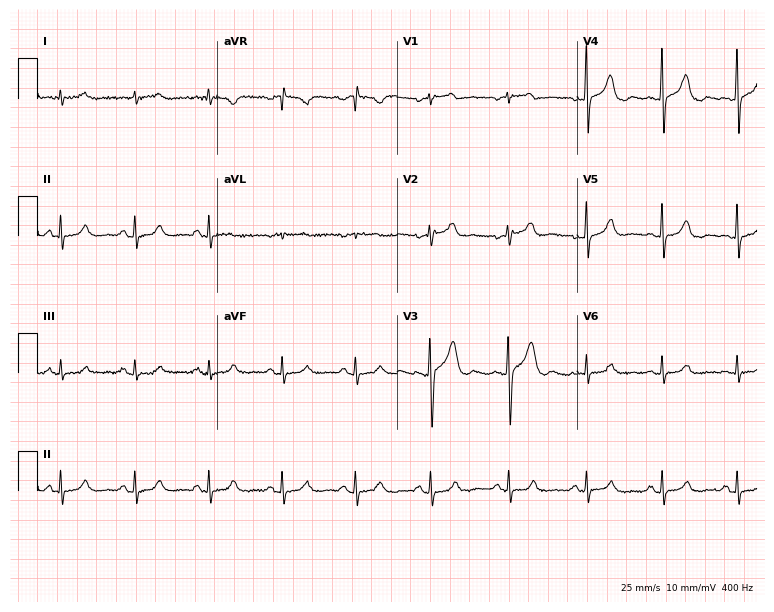
Resting 12-lead electrocardiogram. Patient: a male, 78 years old. None of these six findings is recorded: first-degree AV block, right bundle branch block, left bundle branch block, sinus bradycardia, atrial fibrillation, sinus tachycardia.